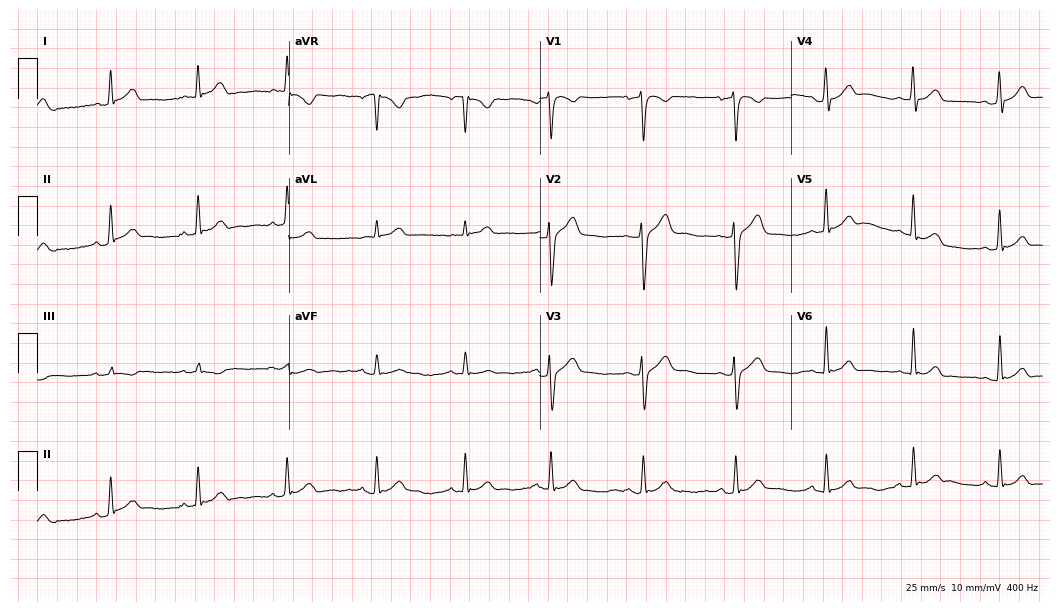
Resting 12-lead electrocardiogram (10.2-second recording at 400 Hz). Patient: a male, 33 years old. None of these six findings is recorded: first-degree AV block, right bundle branch block (RBBB), left bundle branch block (LBBB), sinus bradycardia, atrial fibrillation (AF), sinus tachycardia.